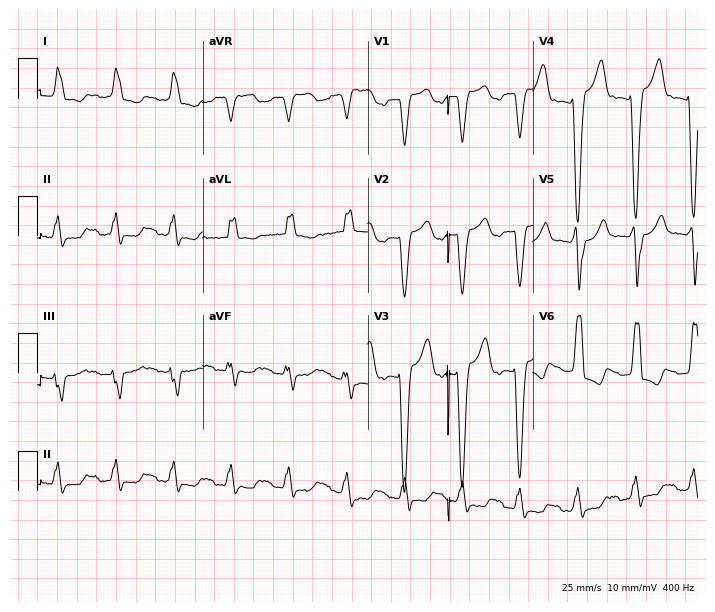
Resting 12-lead electrocardiogram (6.7-second recording at 400 Hz). Patient: a female, 77 years old. None of these six findings is recorded: first-degree AV block, right bundle branch block (RBBB), left bundle branch block (LBBB), sinus bradycardia, atrial fibrillation (AF), sinus tachycardia. Findings outside these six are not listed.